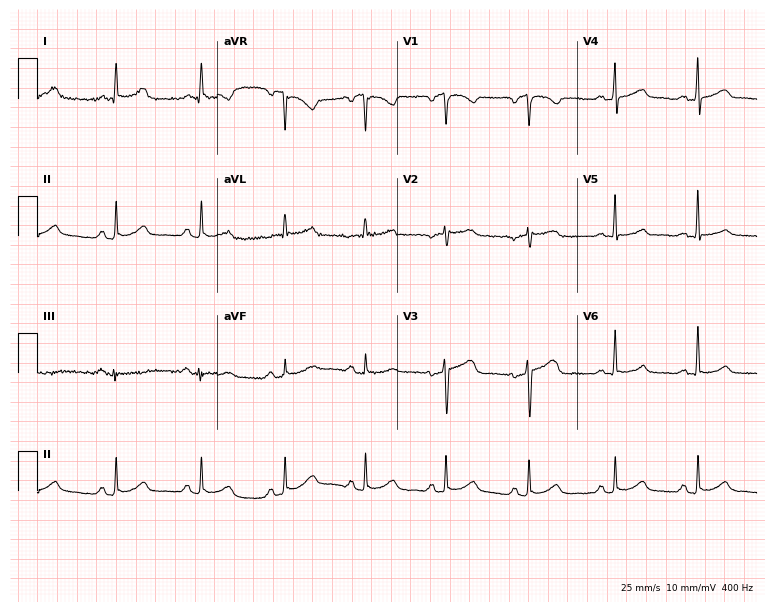
Resting 12-lead electrocardiogram. Patient: a female, 61 years old. Read as a normal ECG.